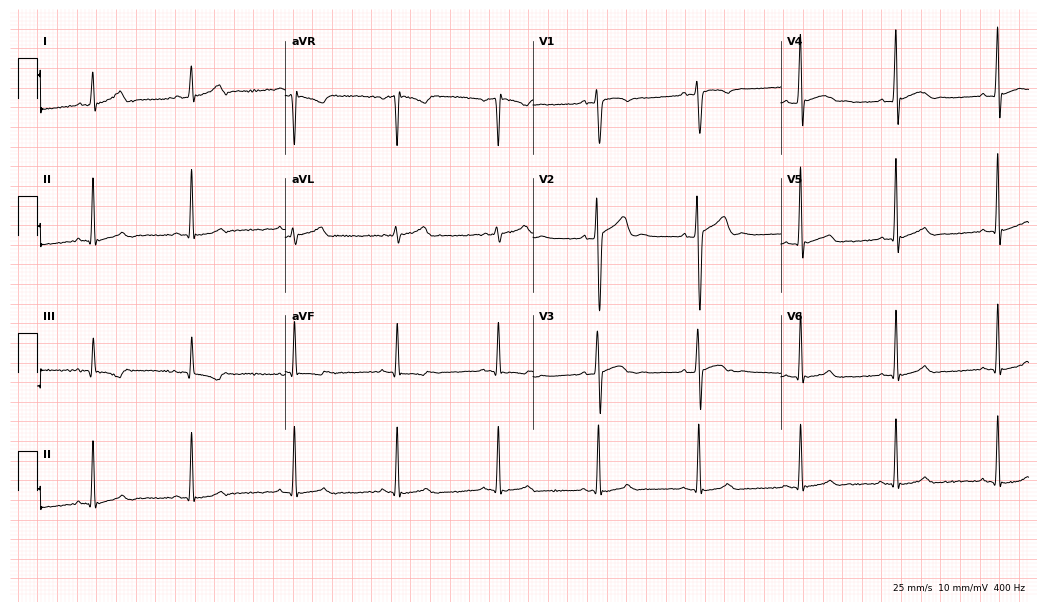
Electrocardiogram, a 25-year-old man. Of the six screened findings (first-degree AV block, right bundle branch block (RBBB), left bundle branch block (LBBB), sinus bradycardia, atrial fibrillation (AF), sinus tachycardia), none is recorded.